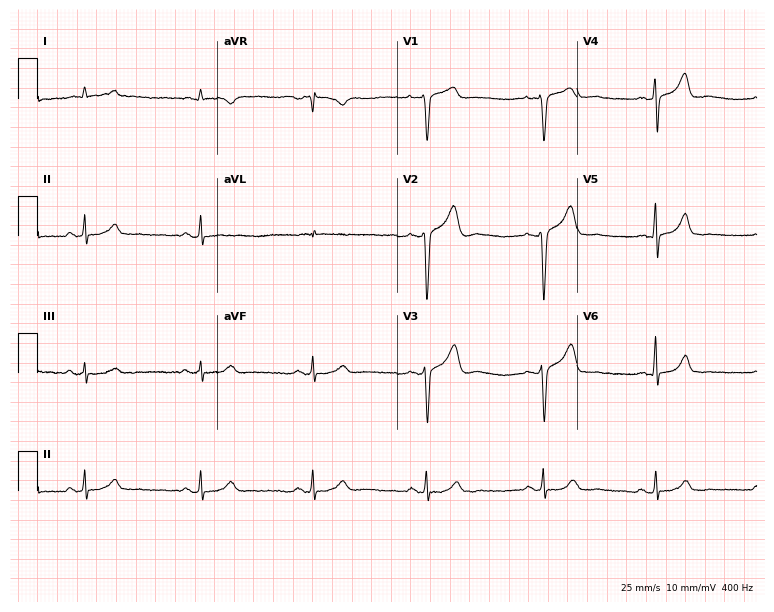
12-lead ECG from a man, 49 years old. Labelled as a normal ECG.